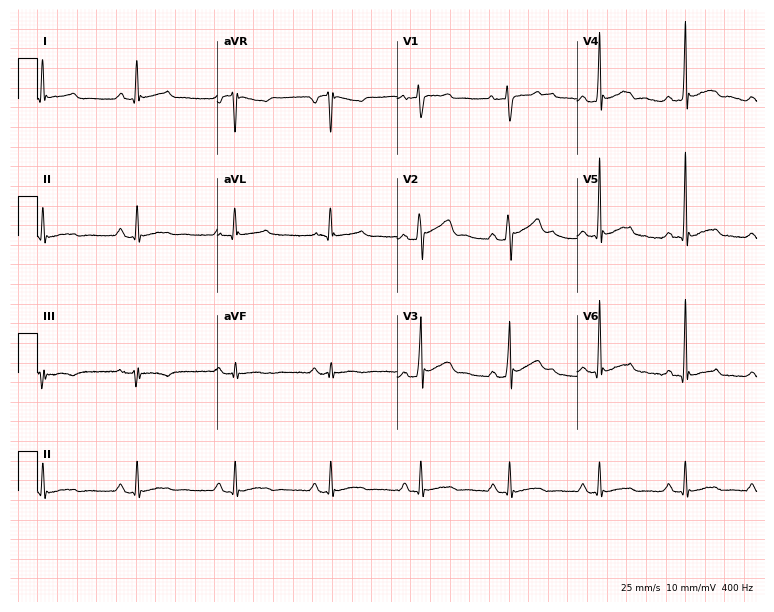
12-lead ECG from a 29-year-old male patient (7.3-second recording at 400 Hz). No first-degree AV block, right bundle branch block (RBBB), left bundle branch block (LBBB), sinus bradycardia, atrial fibrillation (AF) or sinus tachycardia recorded for this tracing. Other findings, if any, are not listed.